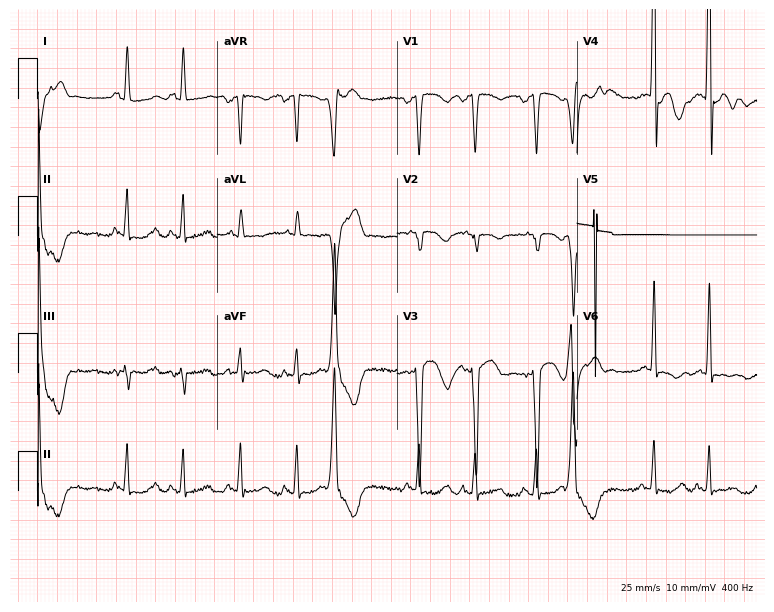
Resting 12-lead electrocardiogram. Patient: a male, 37 years old. The tracing shows sinus tachycardia (a sinus rate of 100 beats per minute or more).